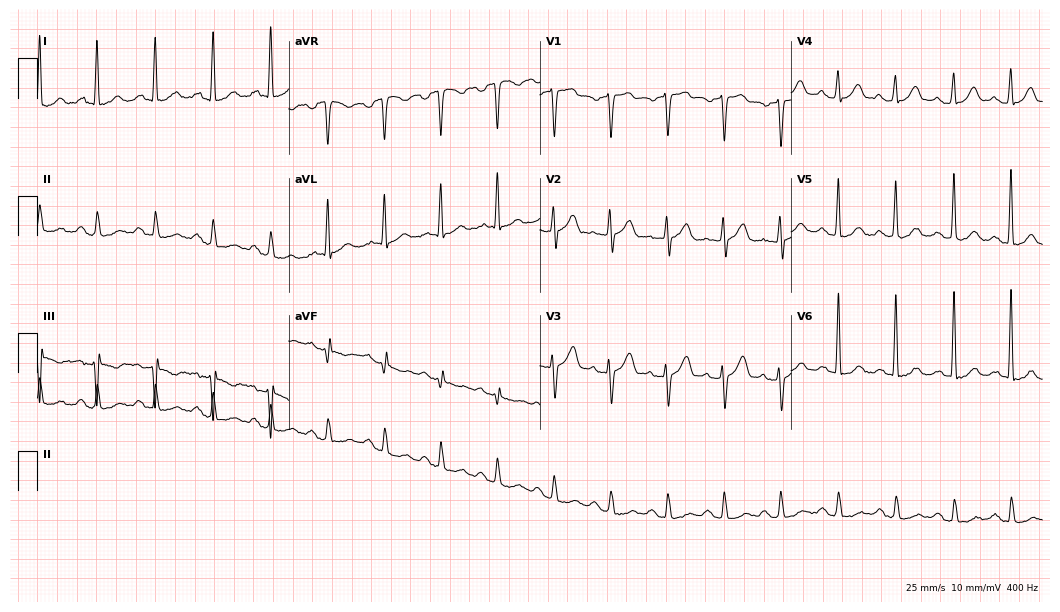
ECG (10.2-second recording at 400 Hz) — a 73-year-old woman. Labelled as a normal ECG.